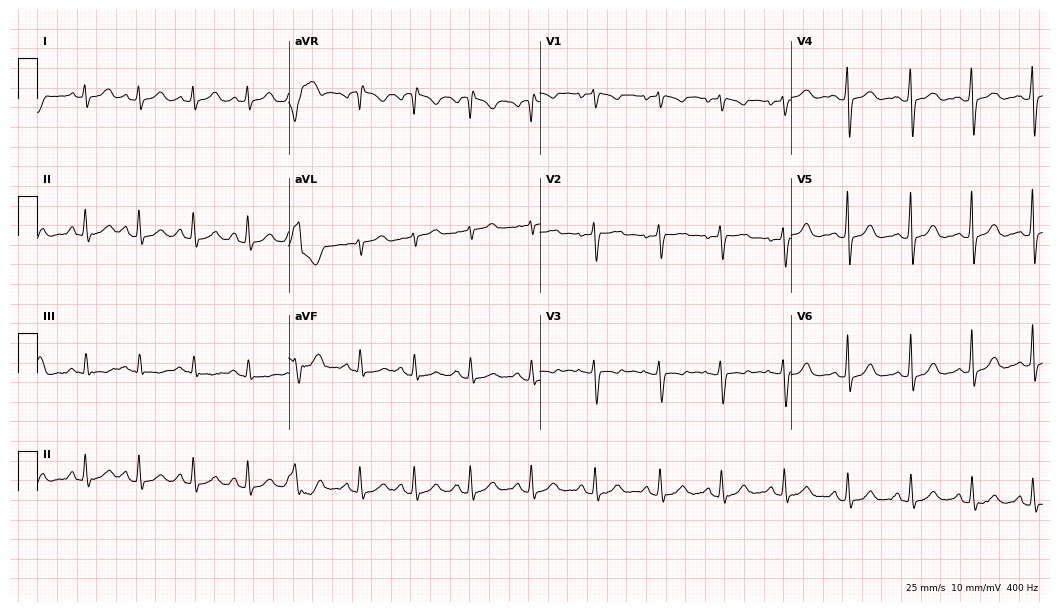
12-lead ECG (10.2-second recording at 400 Hz) from a woman, 49 years old. Screened for six findings — first-degree AV block, right bundle branch block (RBBB), left bundle branch block (LBBB), sinus bradycardia, atrial fibrillation (AF), sinus tachycardia — none is recorded. Other findings, if any, are not listed.